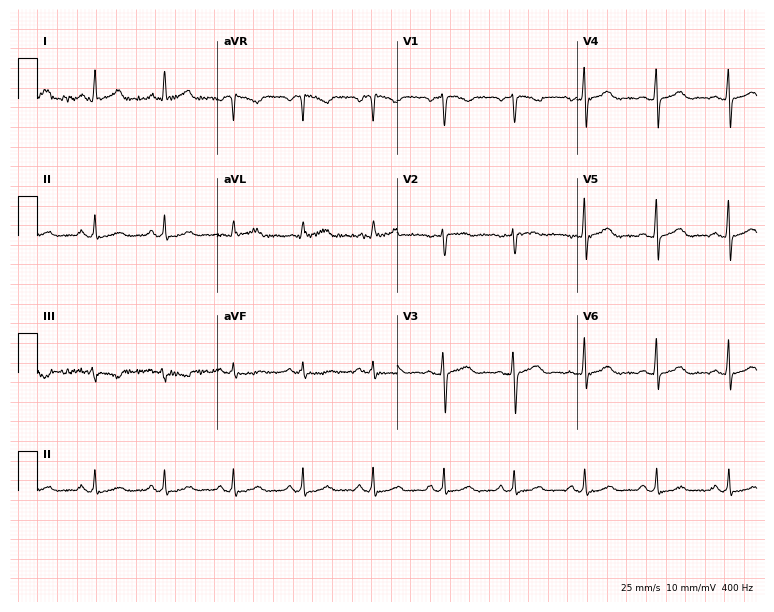
Standard 12-lead ECG recorded from a female, 56 years old (7.3-second recording at 400 Hz). Read as a normal ECG.